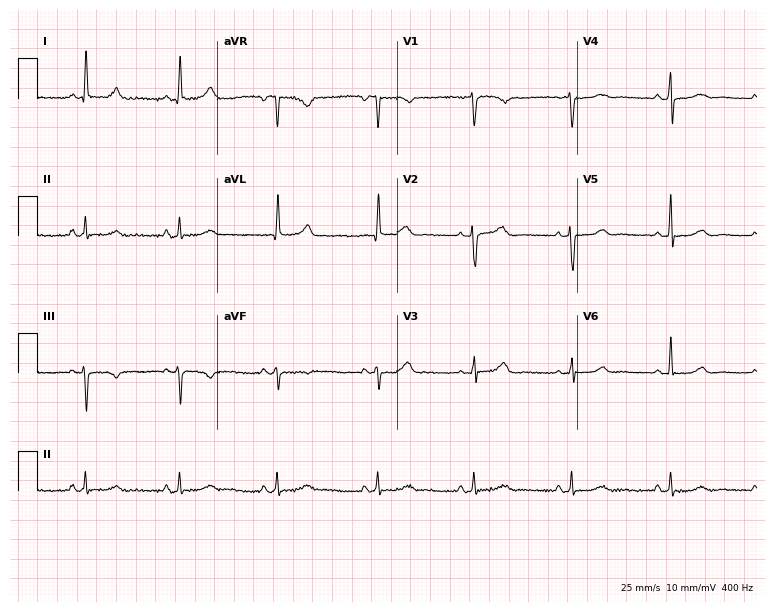
ECG (7.3-second recording at 400 Hz) — a woman, 53 years old. Labelled as a normal ECG.